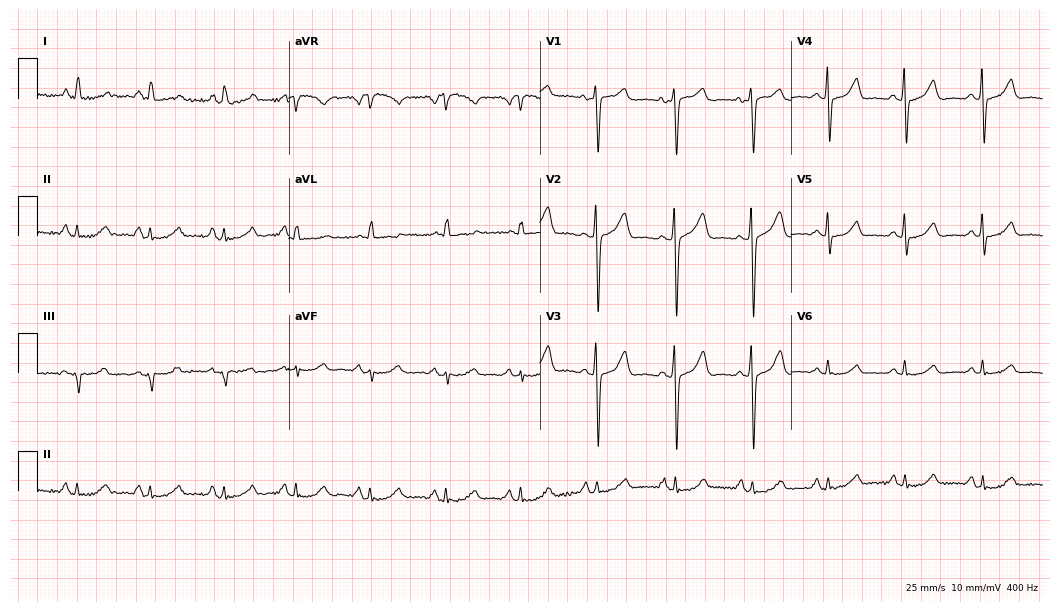
Standard 12-lead ECG recorded from a 60-year-old female (10.2-second recording at 400 Hz). Read as a normal ECG.